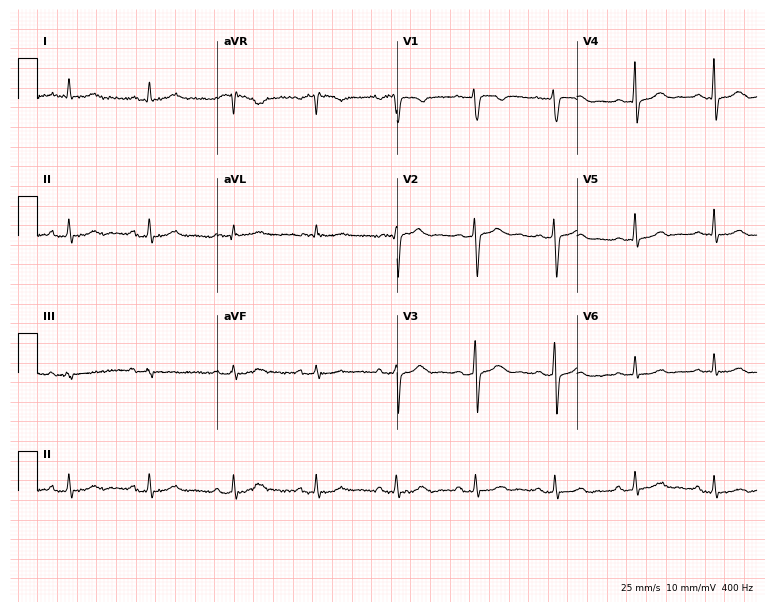
Electrocardiogram, a female, 23 years old. Of the six screened findings (first-degree AV block, right bundle branch block, left bundle branch block, sinus bradycardia, atrial fibrillation, sinus tachycardia), none is recorded.